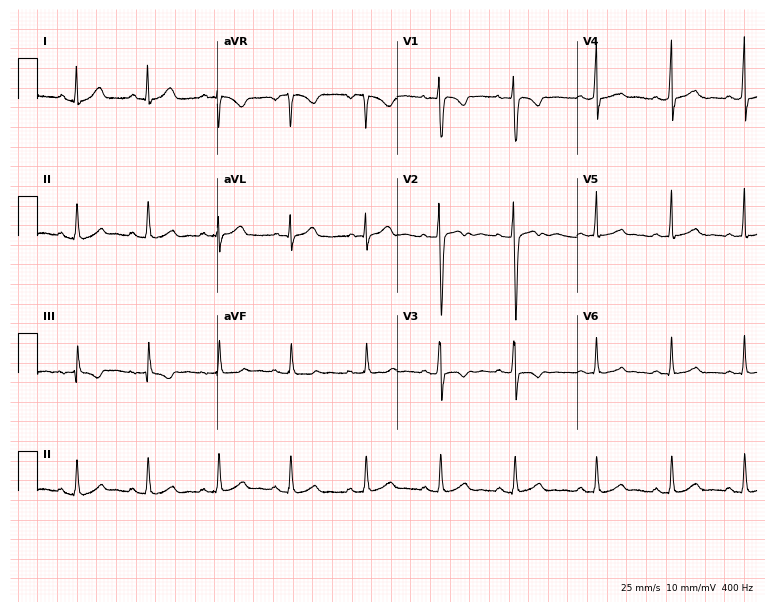
Standard 12-lead ECG recorded from a female patient, 20 years old (7.3-second recording at 400 Hz). None of these six findings is recorded: first-degree AV block, right bundle branch block, left bundle branch block, sinus bradycardia, atrial fibrillation, sinus tachycardia. Findings outside these six are not listed.